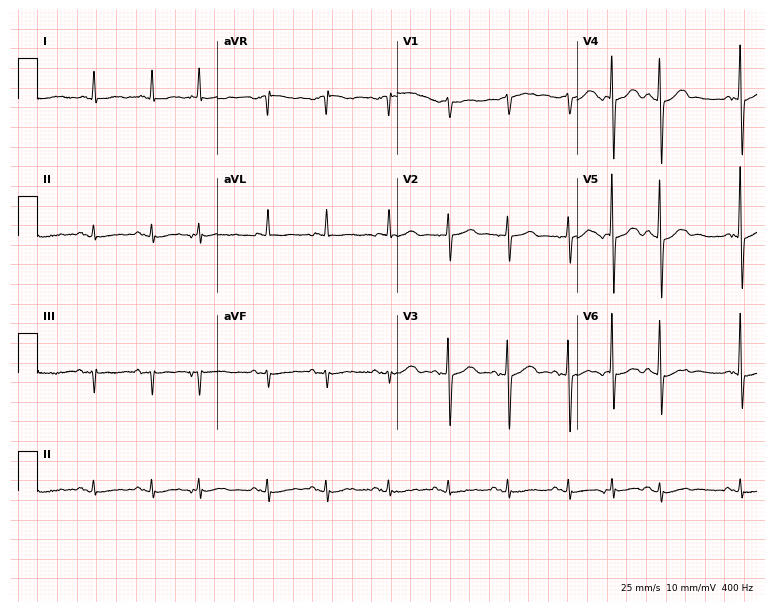
12-lead ECG from a 76-year-old female. No first-degree AV block, right bundle branch block, left bundle branch block, sinus bradycardia, atrial fibrillation or sinus tachycardia recorded for this tracing. Findings outside these six are not listed.